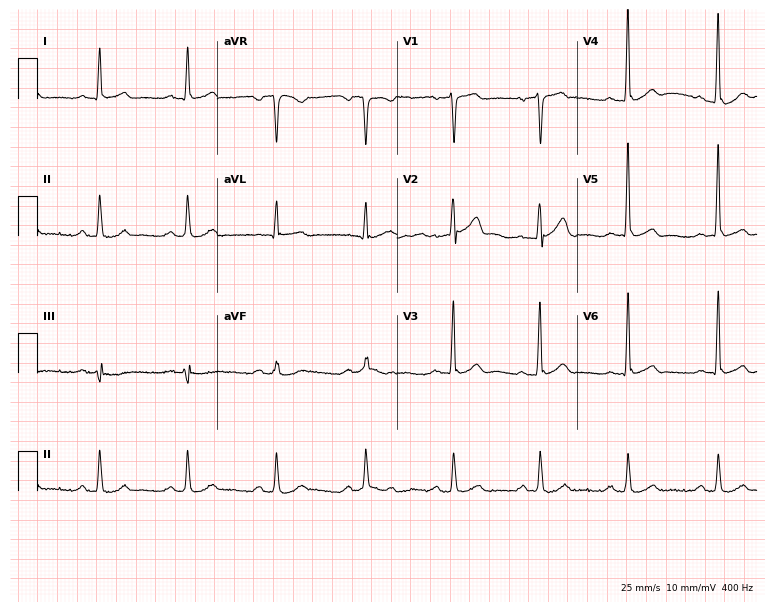
Standard 12-lead ECG recorded from a male patient, 71 years old (7.3-second recording at 400 Hz). None of these six findings is recorded: first-degree AV block, right bundle branch block, left bundle branch block, sinus bradycardia, atrial fibrillation, sinus tachycardia.